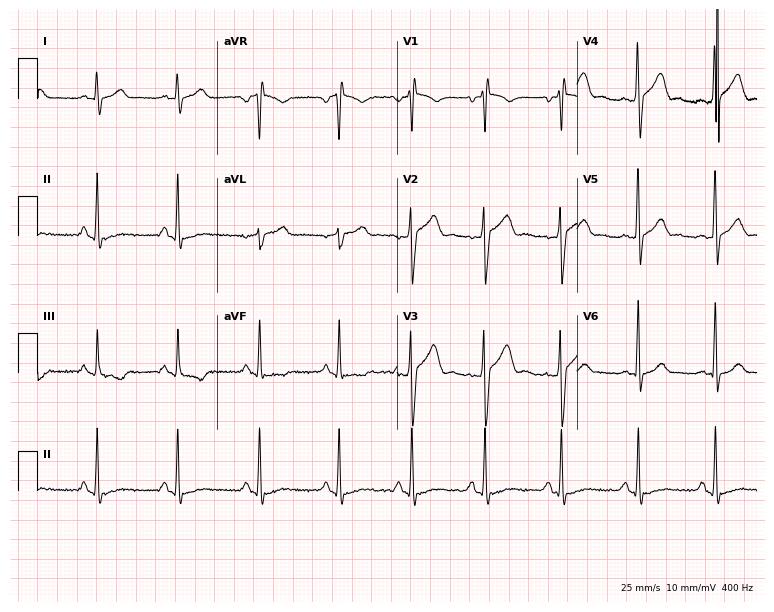
Resting 12-lead electrocardiogram. Patient: a 38-year-old male. Read as a normal ECG.